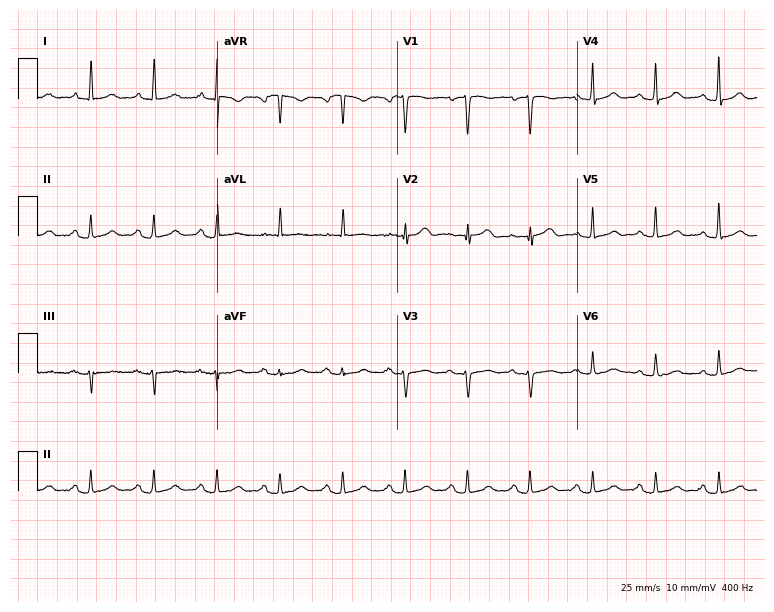
Resting 12-lead electrocardiogram (7.3-second recording at 400 Hz). Patient: a woman, 70 years old. Read as a normal ECG.